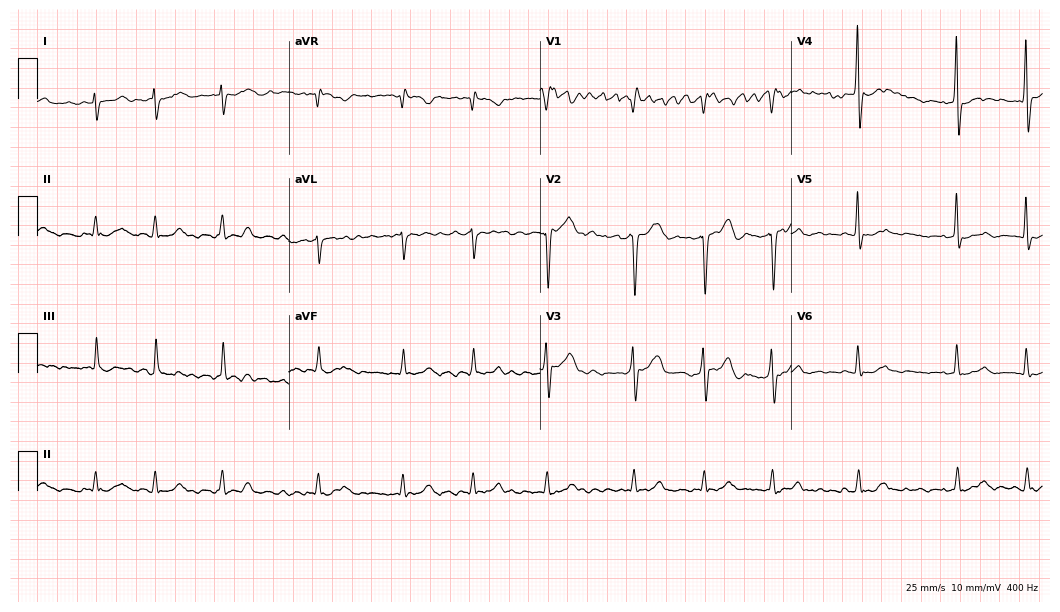
Resting 12-lead electrocardiogram. Patient: a male, 82 years old. The tracing shows atrial fibrillation (AF).